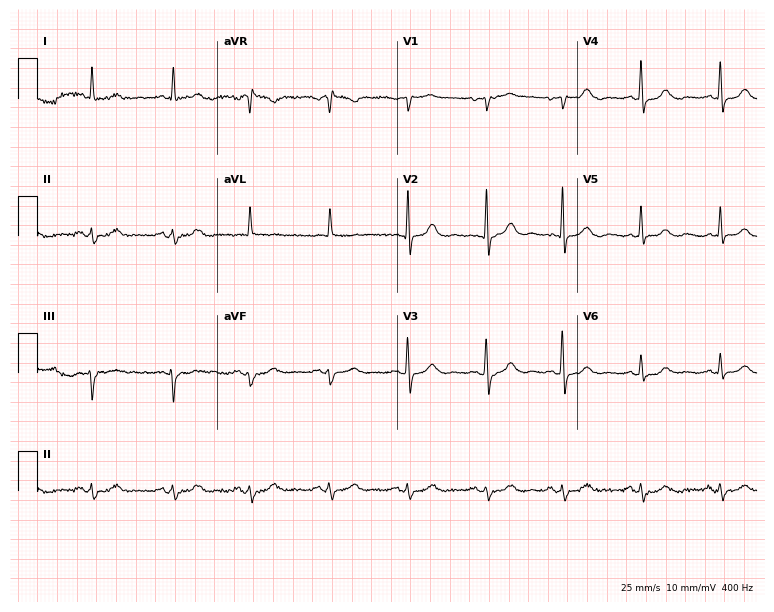
Standard 12-lead ECG recorded from an 82-year-old female (7.3-second recording at 400 Hz). None of these six findings is recorded: first-degree AV block, right bundle branch block, left bundle branch block, sinus bradycardia, atrial fibrillation, sinus tachycardia. Findings outside these six are not listed.